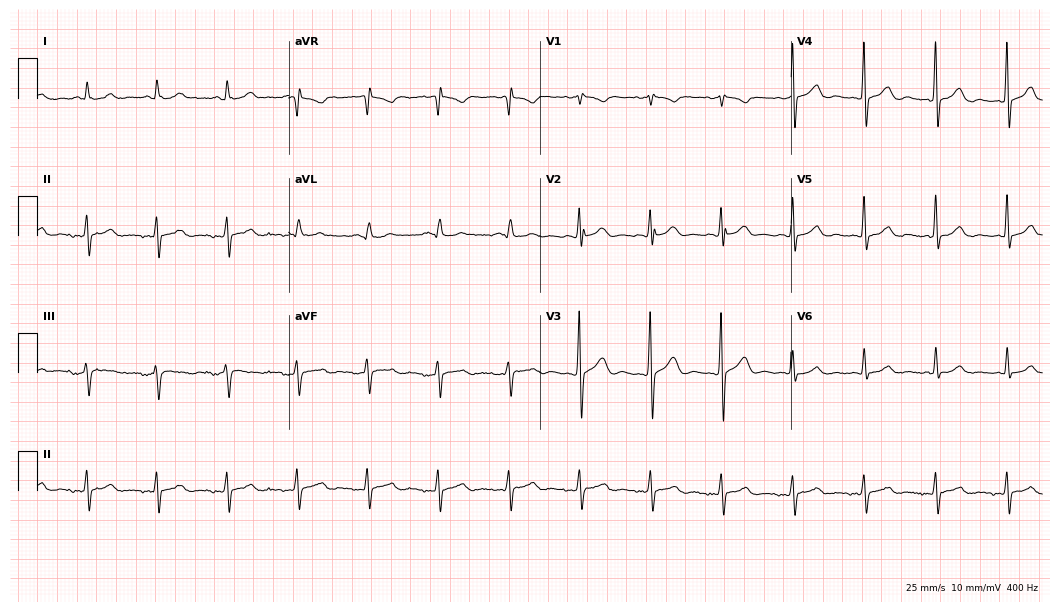
ECG (10.2-second recording at 400 Hz) — a 73-year-old man. Screened for six findings — first-degree AV block, right bundle branch block (RBBB), left bundle branch block (LBBB), sinus bradycardia, atrial fibrillation (AF), sinus tachycardia — none is recorded. Findings outside these six are not listed.